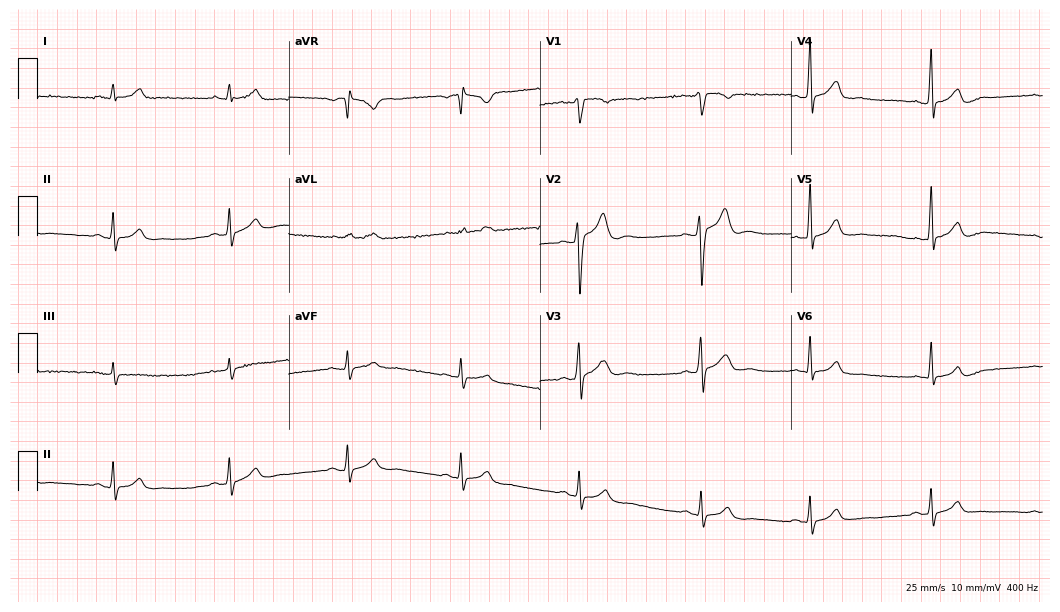
Electrocardiogram, a 28-year-old male. Interpretation includes sinus bradycardia (a sinus rate of 50 beats per minute or less).